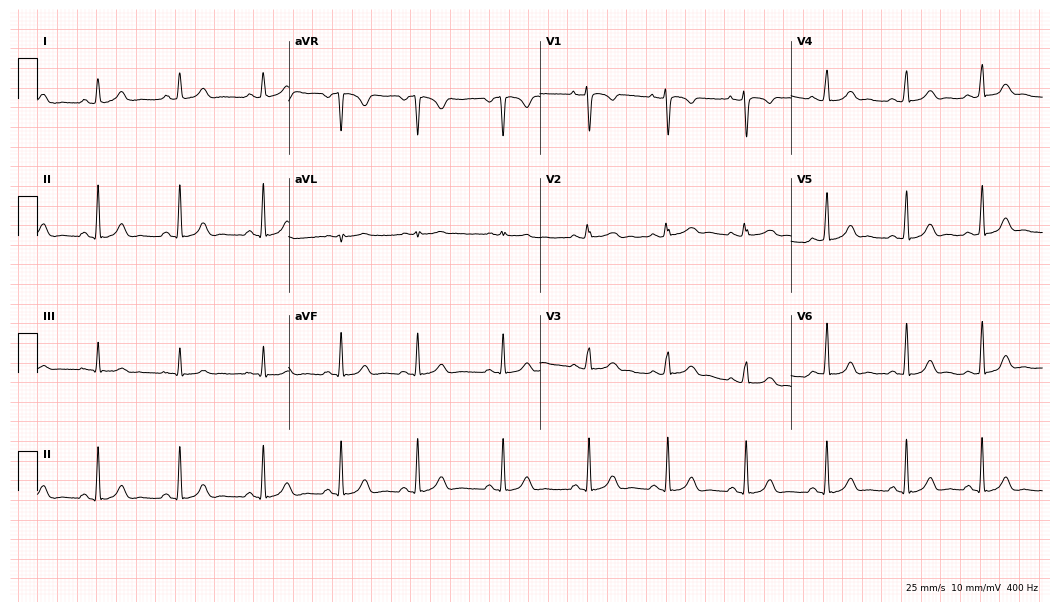
Electrocardiogram, a 25-year-old woman. Overall reading on record: normal ECG.